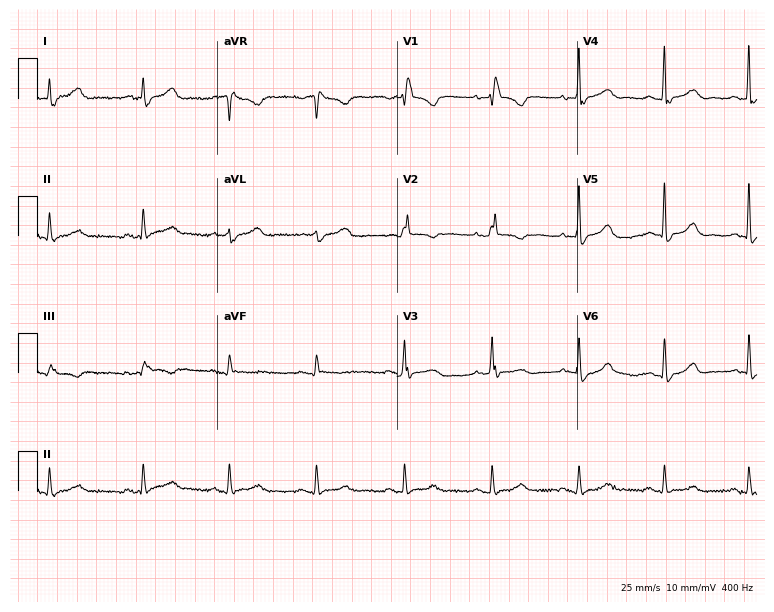
Resting 12-lead electrocardiogram (7.3-second recording at 400 Hz). Patient: a 67-year-old woman. The tracing shows right bundle branch block.